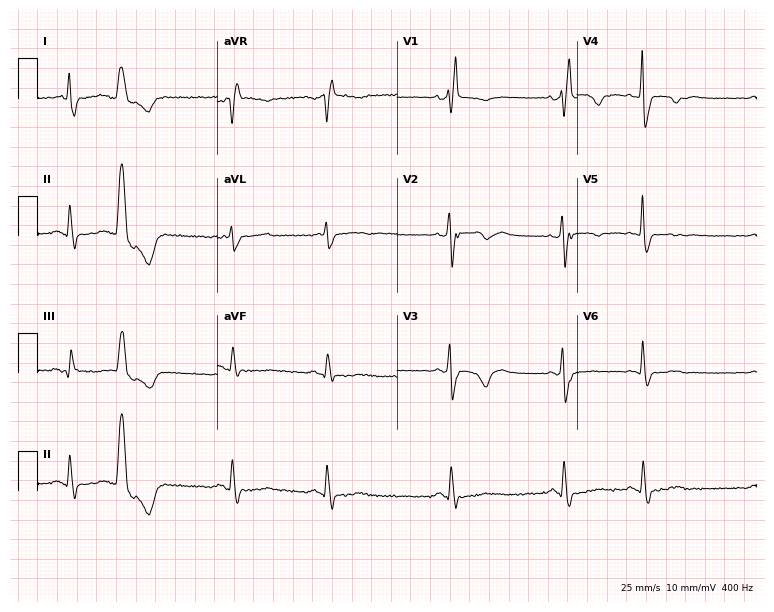
ECG — a 69-year-old female patient. Findings include right bundle branch block.